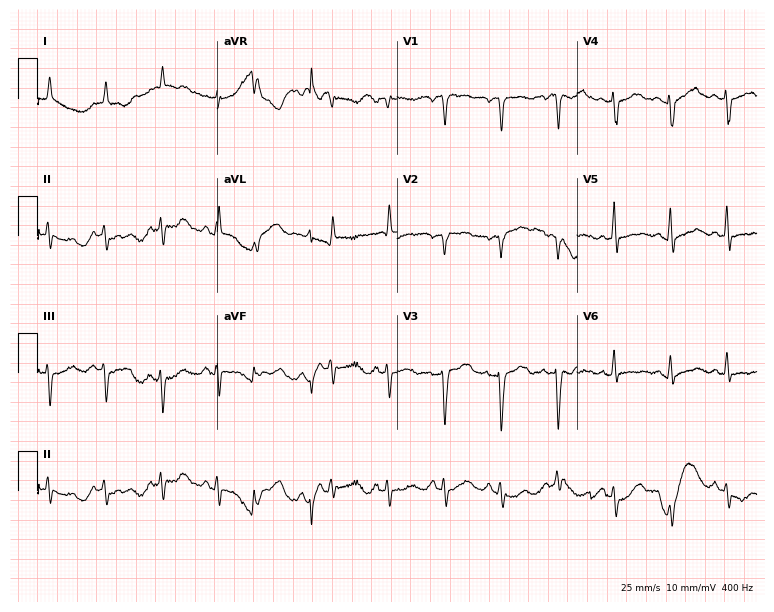
12-lead ECG from a 74-year-old female. No first-degree AV block, right bundle branch block (RBBB), left bundle branch block (LBBB), sinus bradycardia, atrial fibrillation (AF) or sinus tachycardia recorded for this tracing.